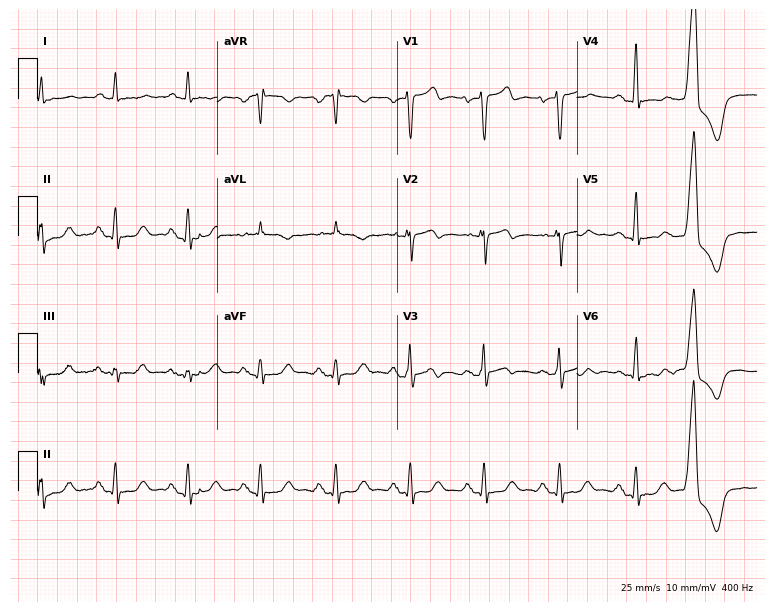
Standard 12-lead ECG recorded from a male patient, 72 years old (7.3-second recording at 400 Hz). None of these six findings is recorded: first-degree AV block, right bundle branch block, left bundle branch block, sinus bradycardia, atrial fibrillation, sinus tachycardia.